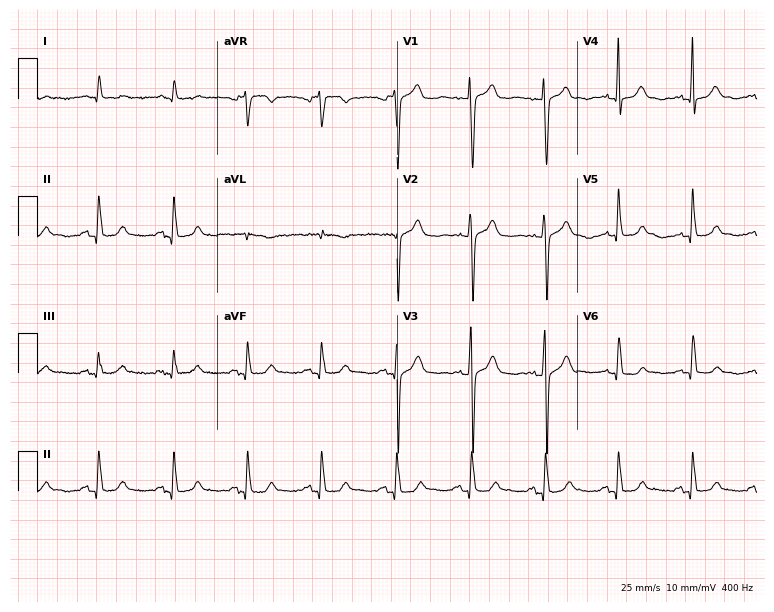
ECG — a male, 58 years old. Screened for six findings — first-degree AV block, right bundle branch block (RBBB), left bundle branch block (LBBB), sinus bradycardia, atrial fibrillation (AF), sinus tachycardia — none is recorded.